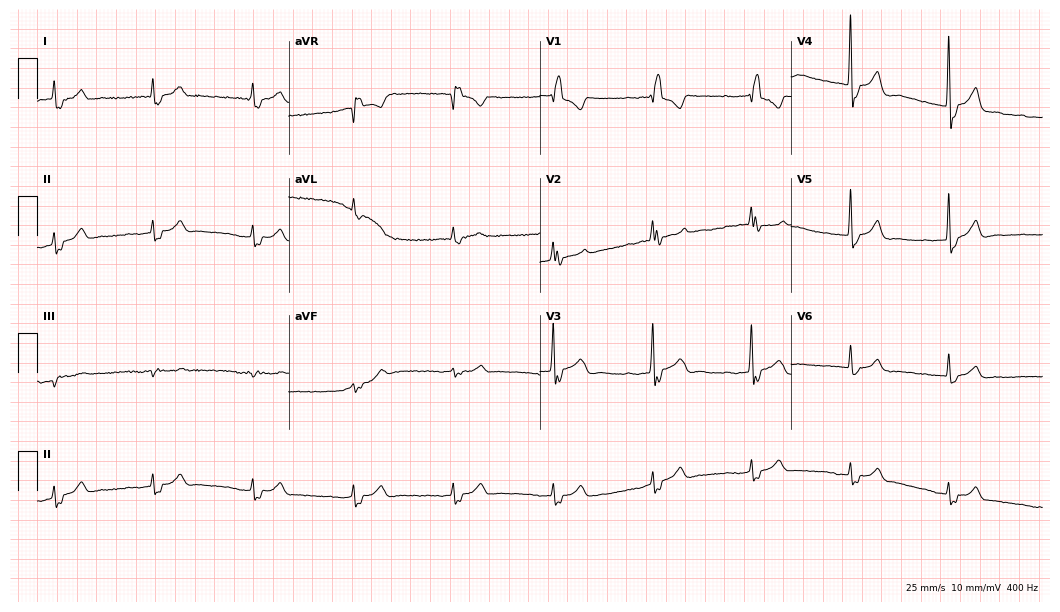
Electrocardiogram (10.2-second recording at 400 Hz), a 79-year-old female patient. Interpretation includes right bundle branch block.